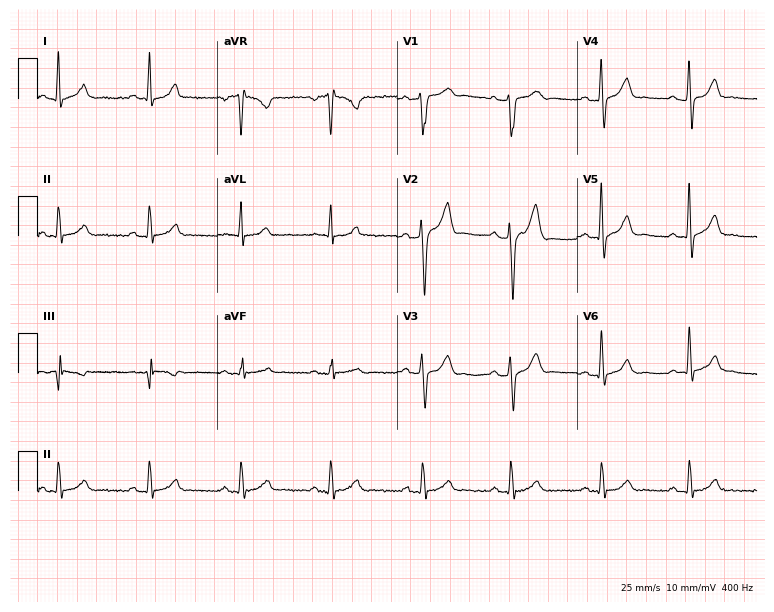
Standard 12-lead ECG recorded from a 38-year-old male. Read as a normal ECG.